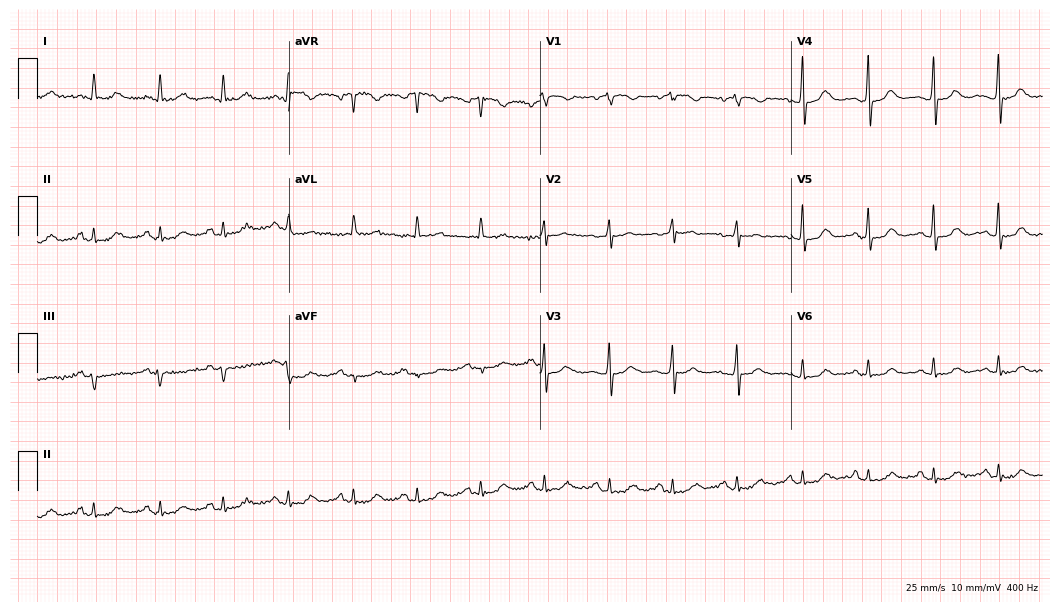
12-lead ECG from a 75-year-old woman. Labelled as a normal ECG.